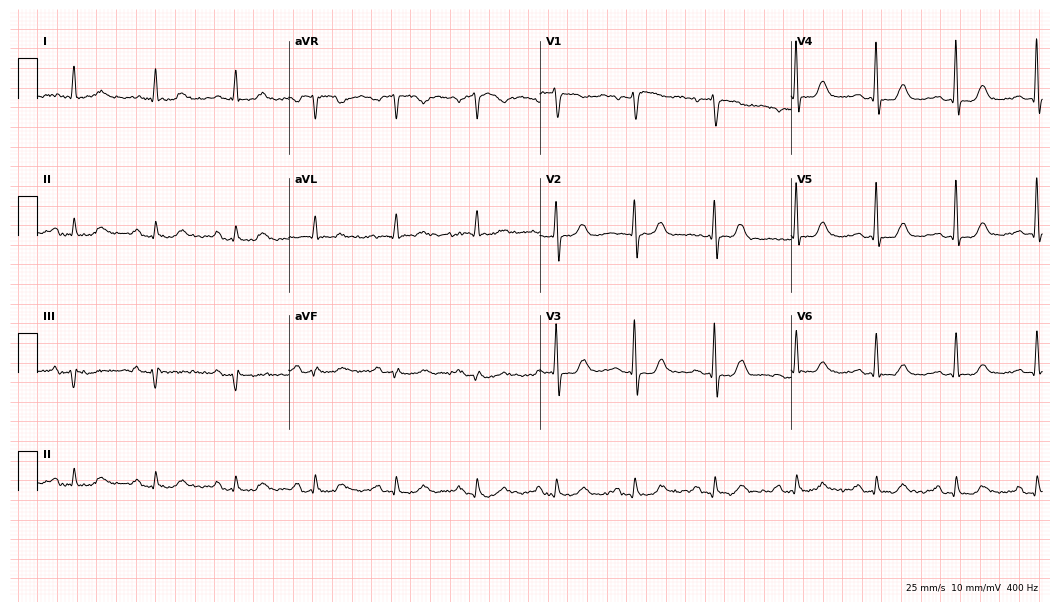
12-lead ECG from a 78-year-old woman. Recorded interpretation: within normal limits.